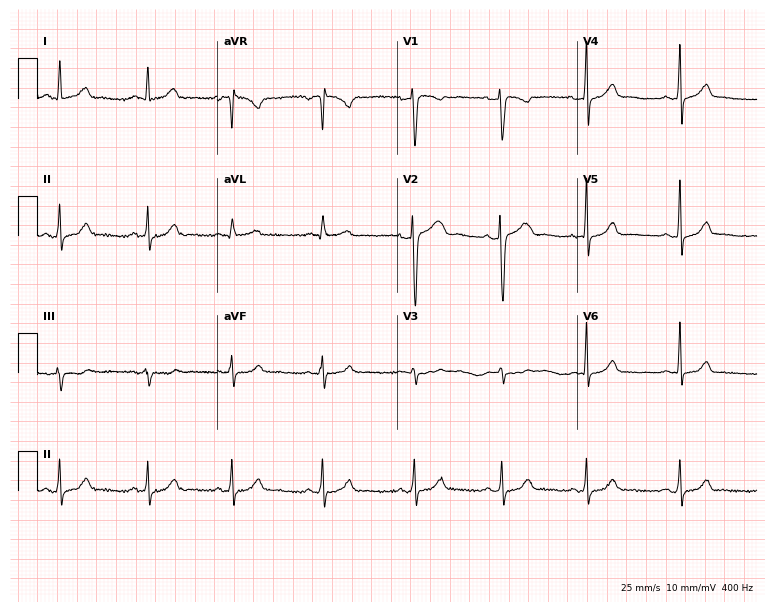
12-lead ECG (7.3-second recording at 400 Hz) from a 31-year-old female. Labelled as a normal ECG.